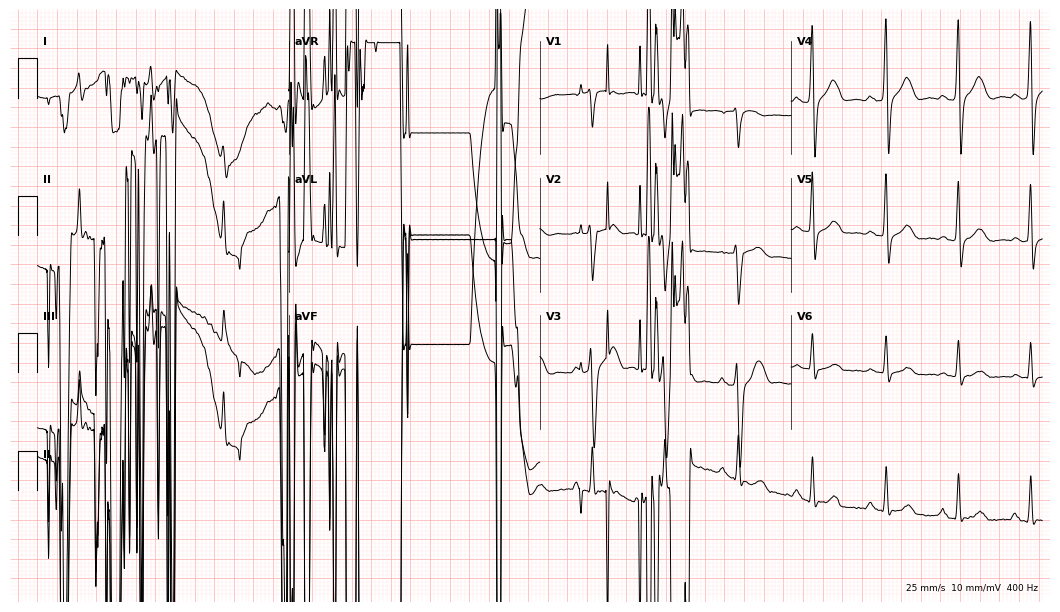
ECG (10.2-second recording at 400 Hz) — a male patient, 39 years old. Screened for six findings — first-degree AV block, right bundle branch block, left bundle branch block, sinus bradycardia, atrial fibrillation, sinus tachycardia — none is recorded.